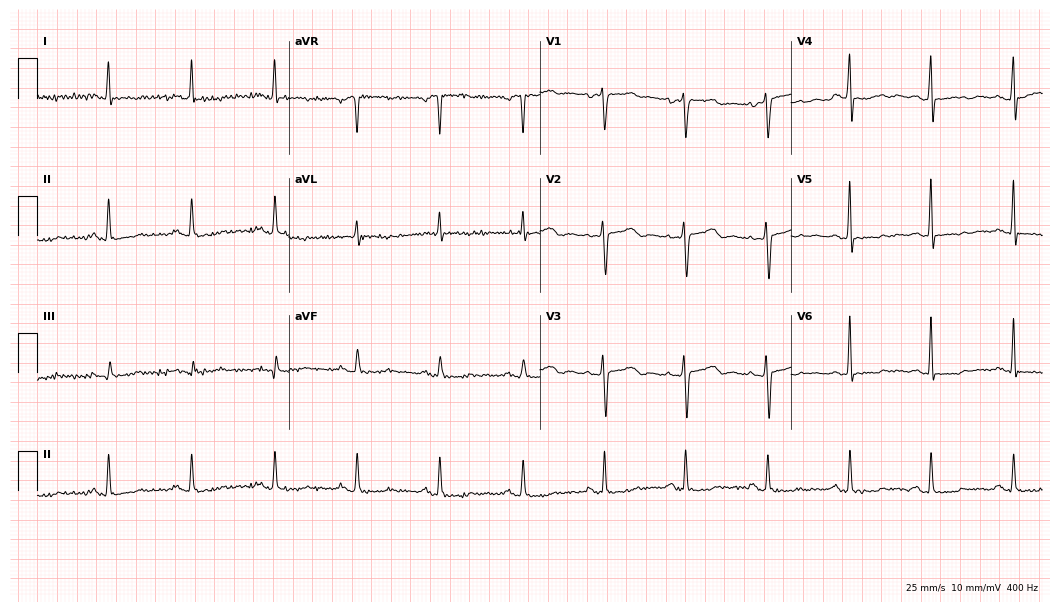
12-lead ECG (10.2-second recording at 400 Hz) from a 63-year-old female. Screened for six findings — first-degree AV block, right bundle branch block, left bundle branch block, sinus bradycardia, atrial fibrillation, sinus tachycardia — none is recorded. Only these six findings were labelled.